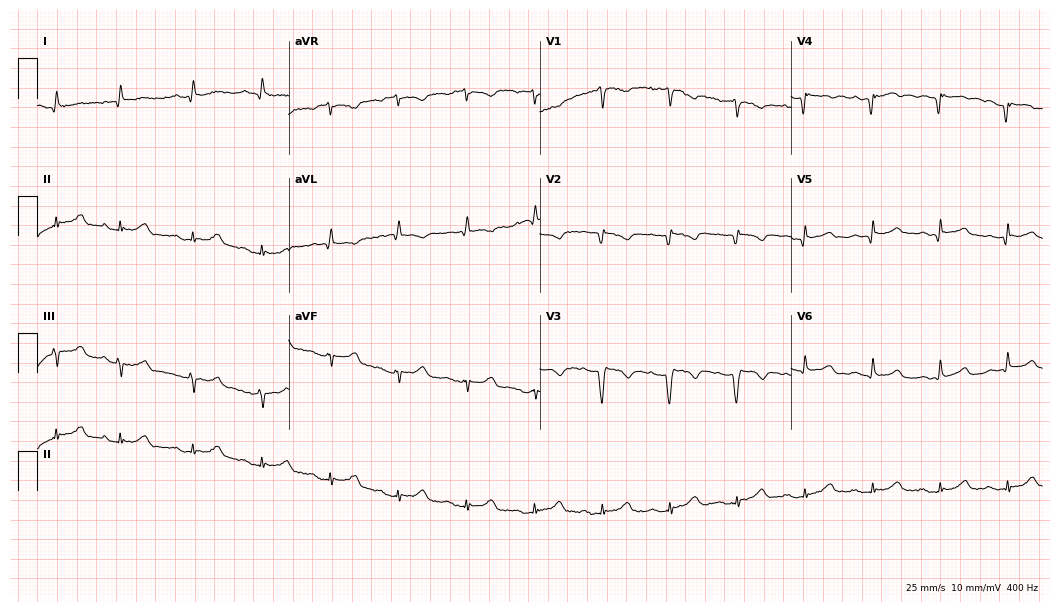
Resting 12-lead electrocardiogram. Patient: a man, 84 years old. None of these six findings is recorded: first-degree AV block, right bundle branch block, left bundle branch block, sinus bradycardia, atrial fibrillation, sinus tachycardia.